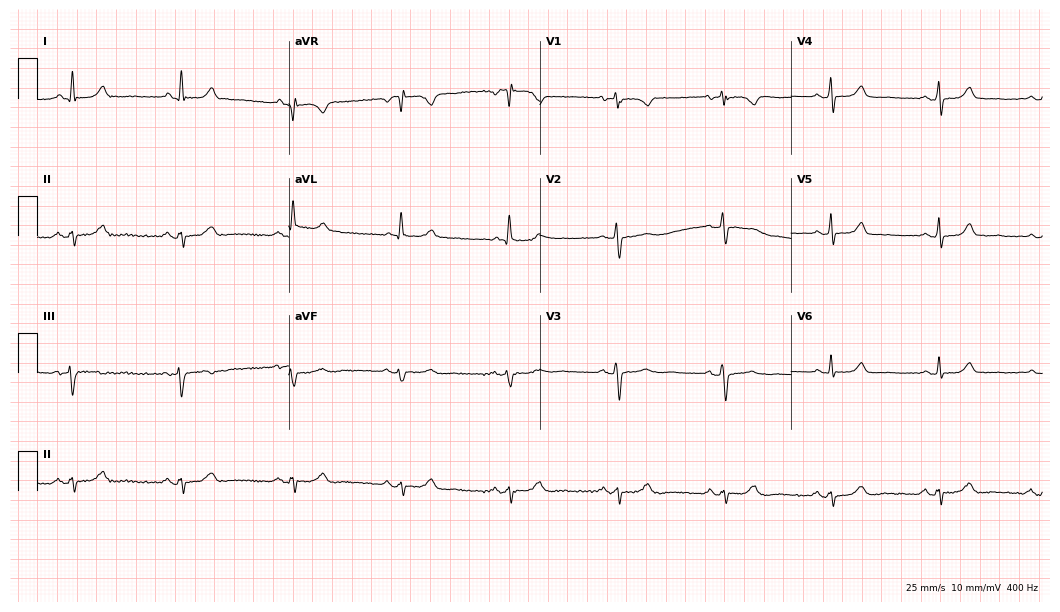
Resting 12-lead electrocardiogram (10.2-second recording at 400 Hz). Patient: a 79-year-old woman. None of these six findings is recorded: first-degree AV block, right bundle branch block, left bundle branch block, sinus bradycardia, atrial fibrillation, sinus tachycardia.